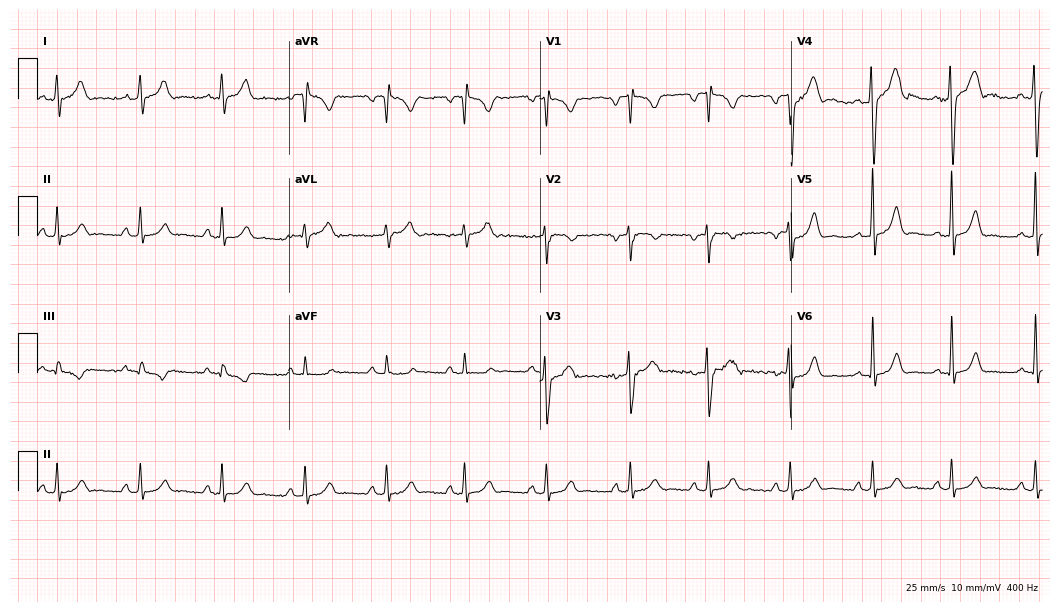
12-lead ECG from a man, 21 years old. No first-degree AV block, right bundle branch block, left bundle branch block, sinus bradycardia, atrial fibrillation or sinus tachycardia recorded for this tracing. Findings outside these six are not listed.